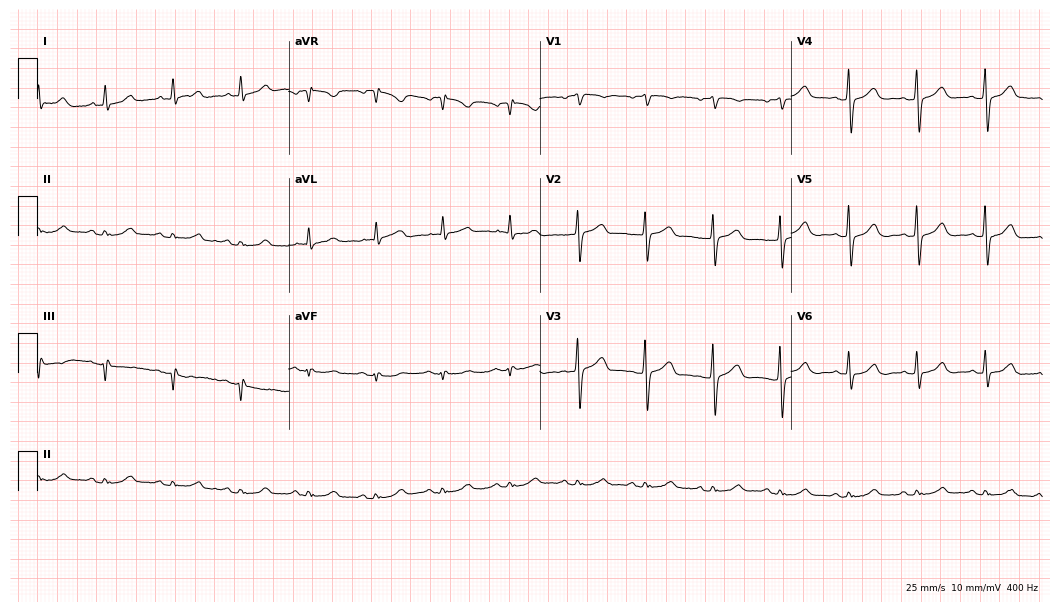
12-lead ECG (10.2-second recording at 400 Hz) from a male patient, 68 years old. Labelled as a normal ECG.